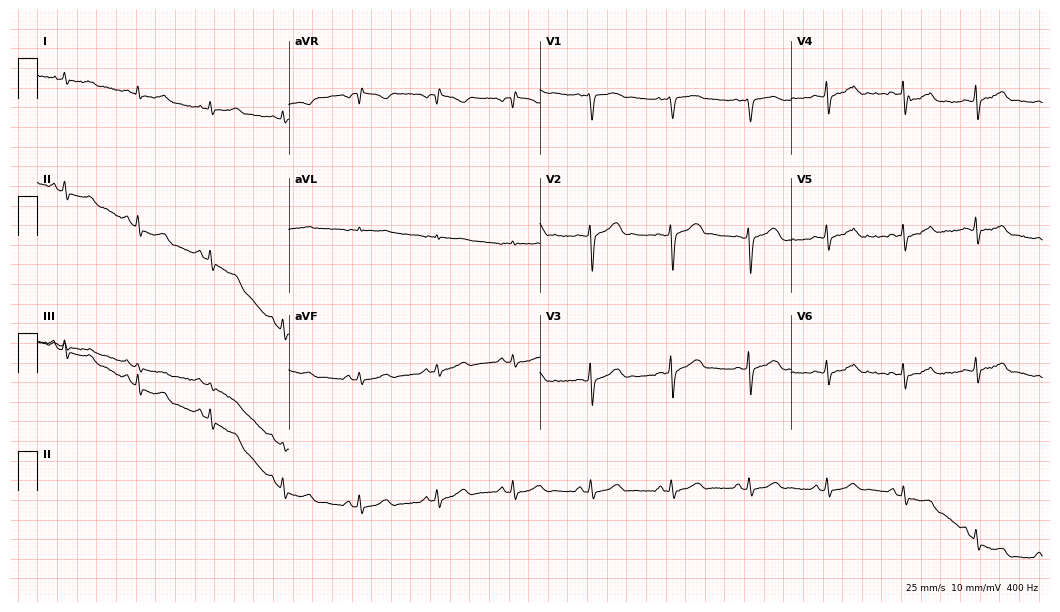
ECG — a female, 29 years old. Labelled as a normal ECG.